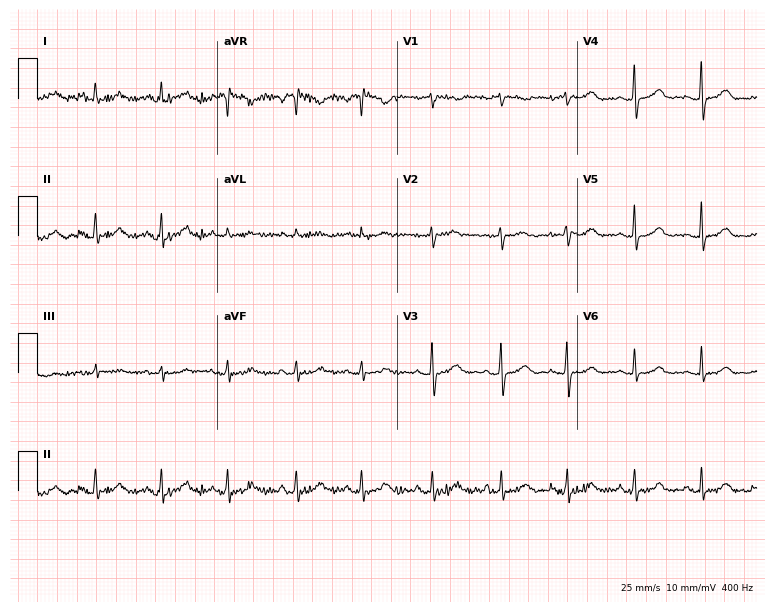
Resting 12-lead electrocardiogram (7.3-second recording at 400 Hz). Patient: a 60-year-old woman. Read as a normal ECG.